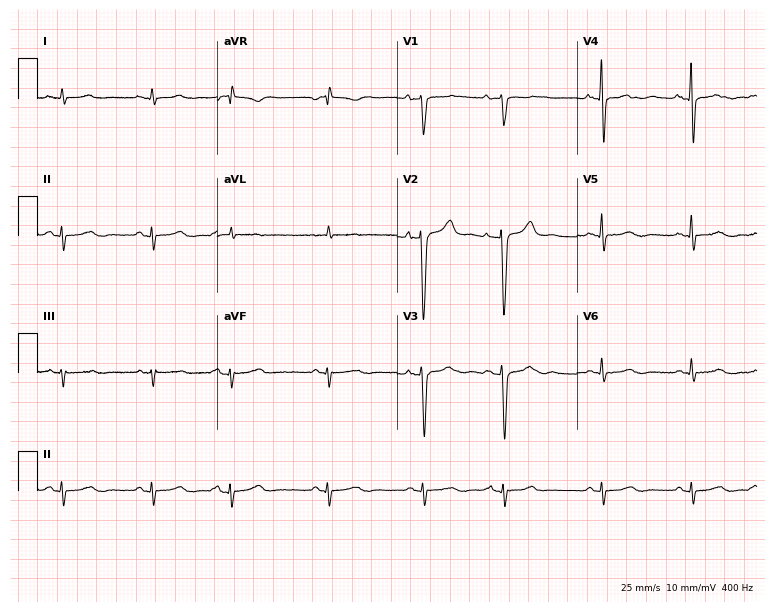
ECG (7.3-second recording at 400 Hz) — a male patient, 56 years old. Screened for six findings — first-degree AV block, right bundle branch block (RBBB), left bundle branch block (LBBB), sinus bradycardia, atrial fibrillation (AF), sinus tachycardia — none is recorded.